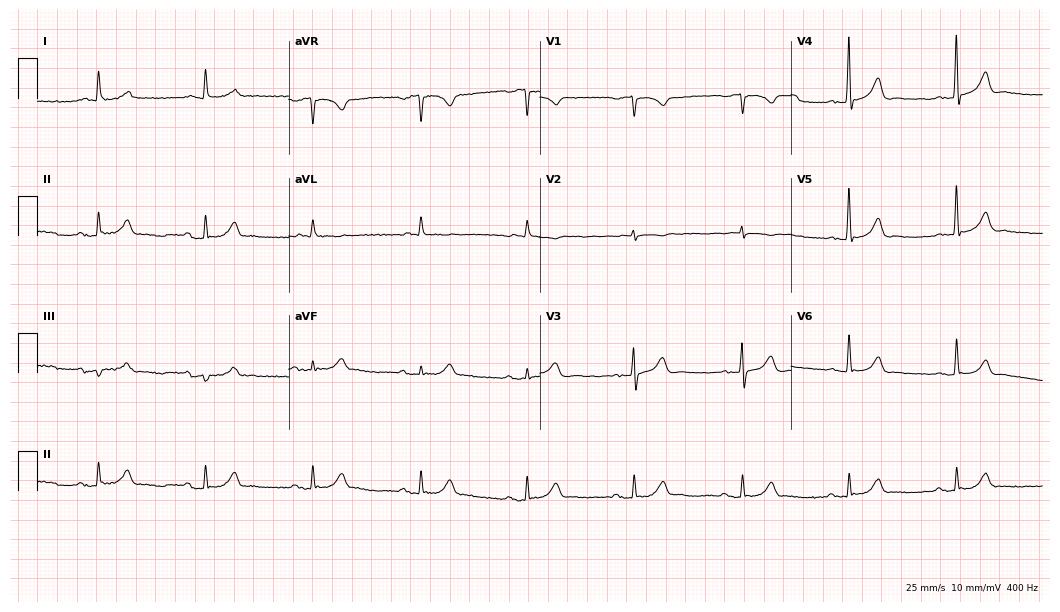
Standard 12-lead ECG recorded from a male patient, 79 years old (10.2-second recording at 400 Hz). None of these six findings is recorded: first-degree AV block, right bundle branch block, left bundle branch block, sinus bradycardia, atrial fibrillation, sinus tachycardia. Other findings, if any, are not listed.